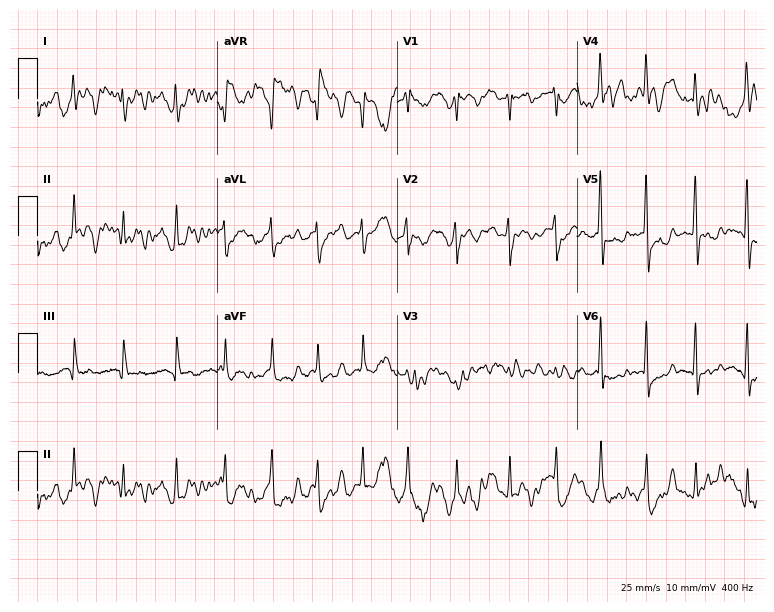
12-lead ECG from a 42-year-old female patient. Screened for six findings — first-degree AV block, right bundle branch block (RBBB), left bundle branch block (LBBB), sinus bradycardia, atrial fibrillation (AF), sinus tachycardia — none is recorded. Other findings, if any, are not listed.